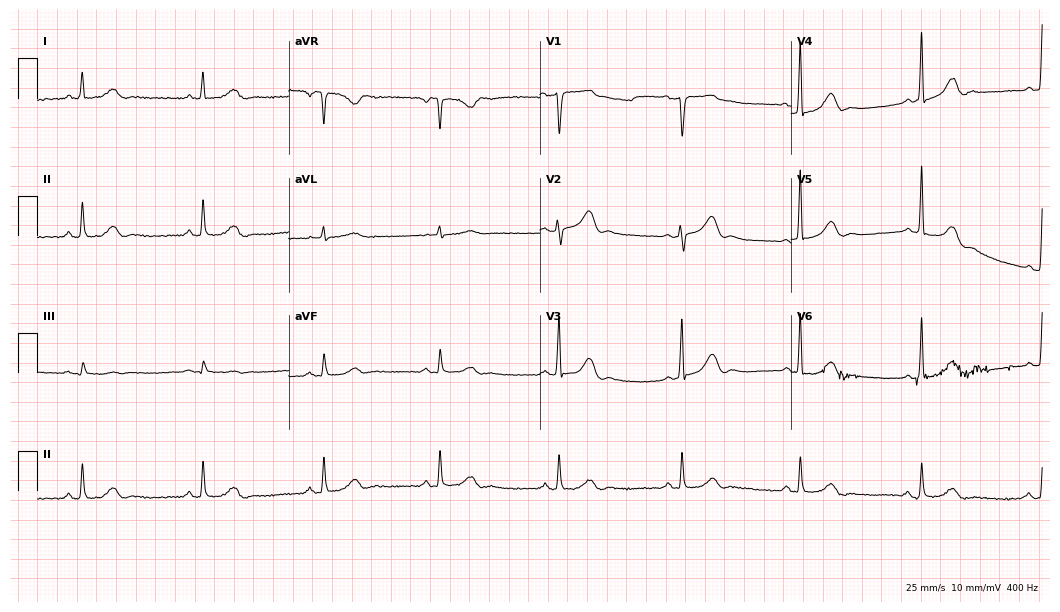
12-lead ECG from a 61-year-old man. Recorded interpretation: within normal limits.